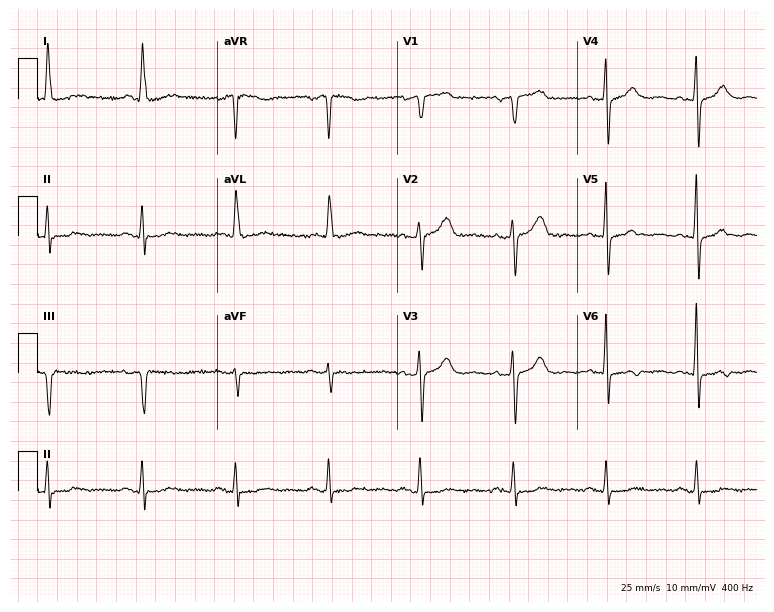
12-lead ECG from a 57-year-old woman. Labelled as a normal ECG.